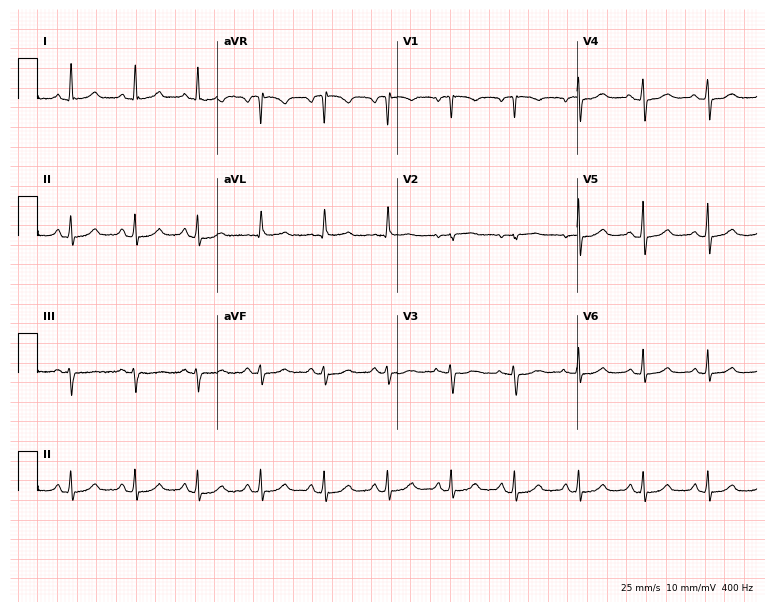
Standard 12-lead ECG recorded from a 64-year-old female. Read as a normal ECG.